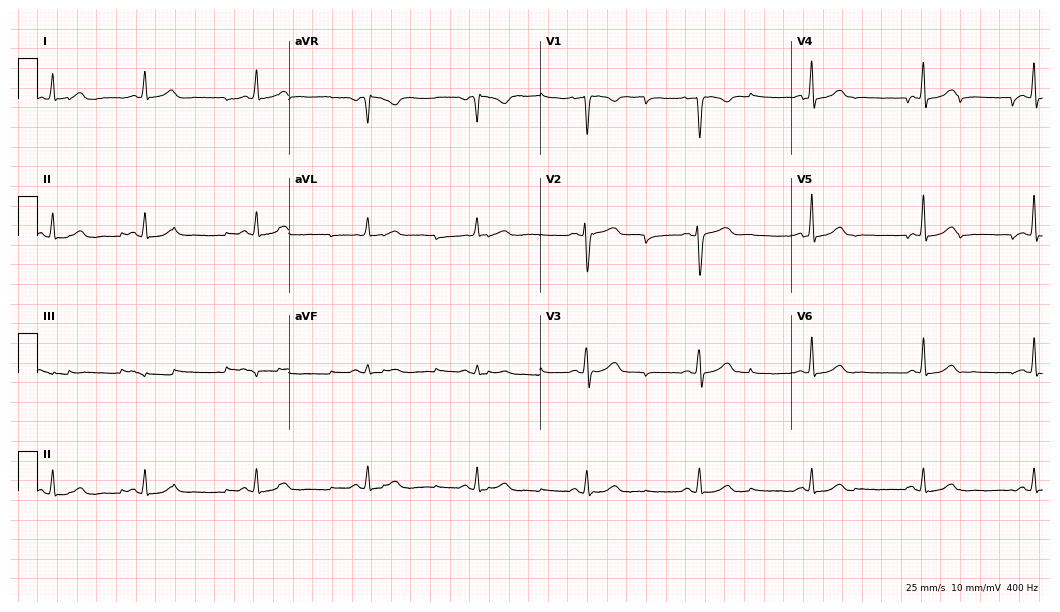
12-lead ECG from a 51-year-old female patient (10.2-second recording at 400 Hz). Recorded interpretation: within normal limits.